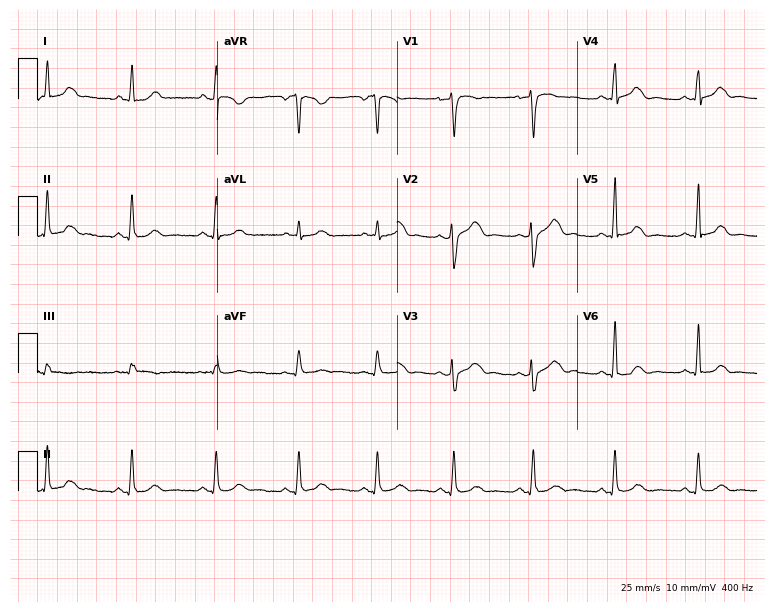
Electrocardiogram, a 53-year-old woman. Of the six screened findings (first-degree AV block, right bundle branch block (RBBB), left bundle branch block (LBBB), sinus bradycardia, atrial fibrillation (AF), sinus tachycardia), none is recorded. Findings outside these six are not listed.